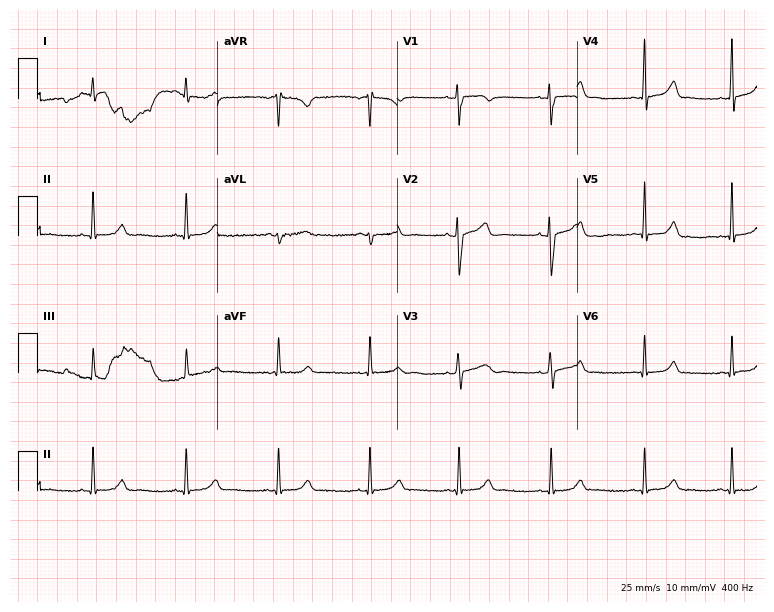
Standard 12-lead ECG recorded from a 37-year-old female patient. Read as a normal ECG.